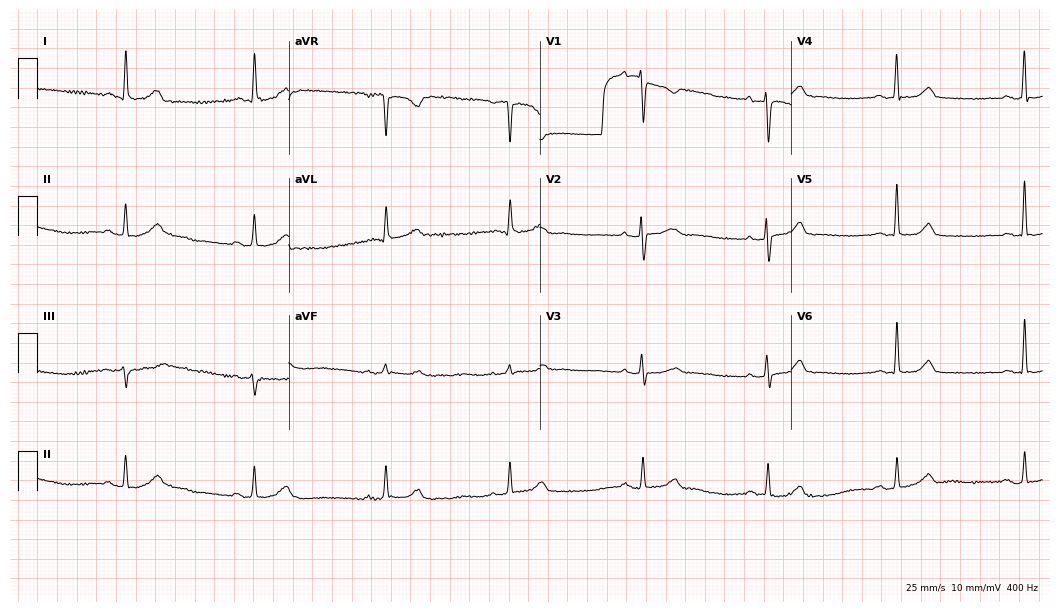
Electrocardiogram (10.2-second recording at 400 Hz), a woman, 68 years old. Interpretation includes sinus bradycardia (a sinus rate of 50 beats per minute or less).